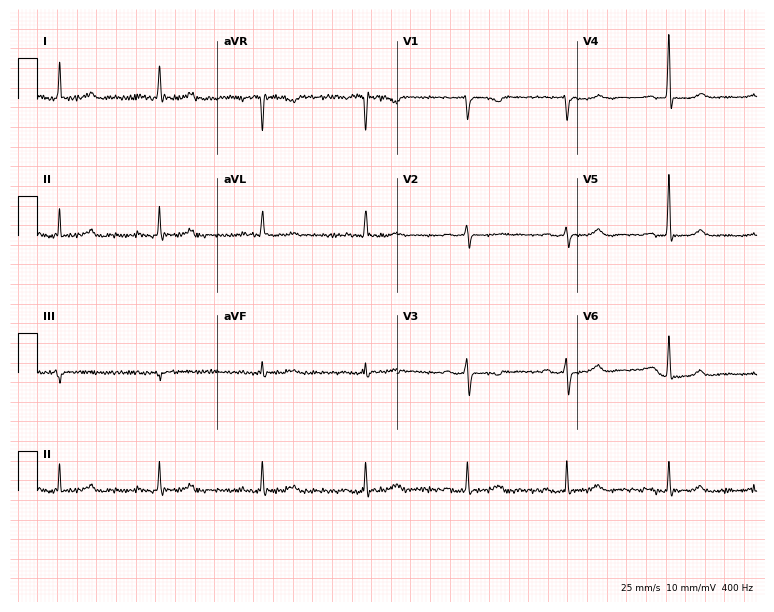
12-lead ECG from a 68-year-old female. Screened for six findings — first-degree AV block, right bundle branch block, left bundle branch block, sinus bradycardia, atrial fibrillation, sinus tachycardia — none is recorded.